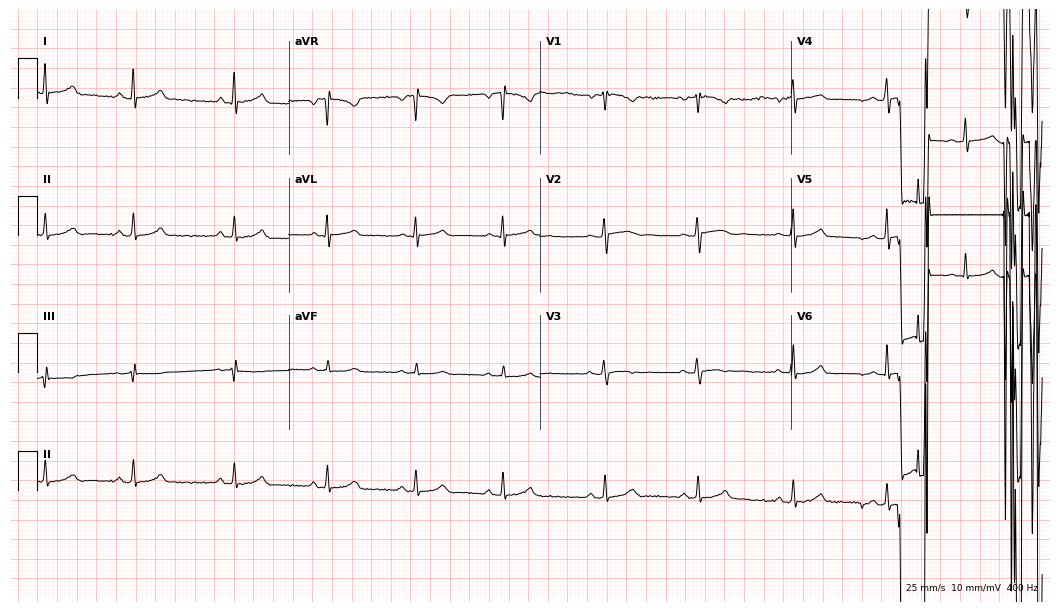
12-lead ECG from a female patient, 20 years old. Recorded interpretation: within normal limits.